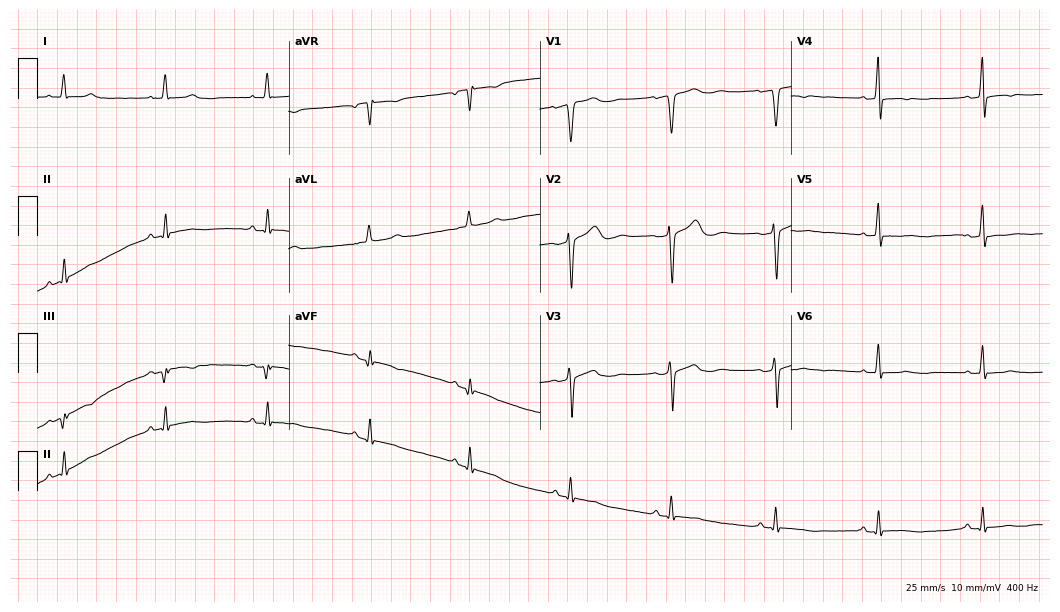
Standard 12-lead ECG recorded from a 68-year-old male. None of these six findings is recorded: first-degree AV block, right bundle branch block, left bundle branch block, sinus bradycardia, atrial fibrillation, sinus tachycardia.